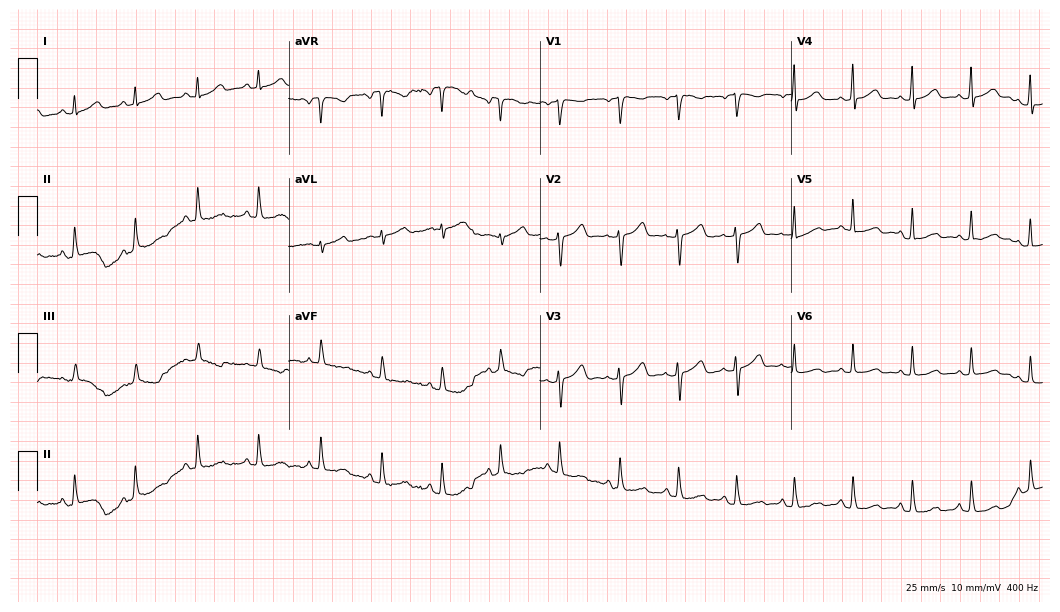
Resting 12-lead electrocardiogram (10.2-second recording at 400 Hz). Patient: a female, 38 years old. Read as a normal ECG.